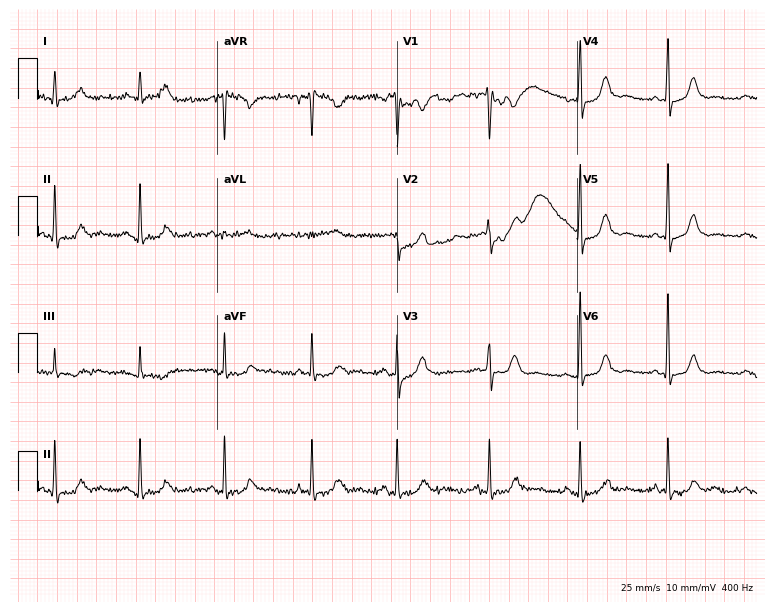
12-lead ECG (7.3-second recording at 400 Hz) from a female, 33 years old. Screened for six findings — first-degree AV block, right bundle branch block, left bundle branch block, sinus bradycardia, atrial fibrillation, sinus tachycardia — none is recorded. Other findings, if any, are not listed.